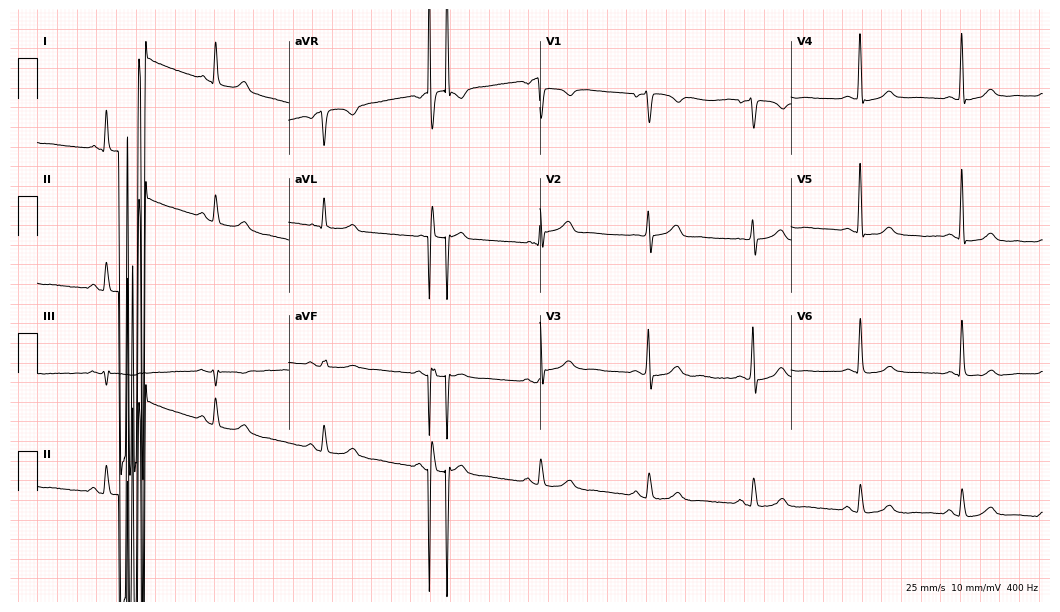
ECG (10.2-second recording at 400 Hz) — a 75-year-old man. Screened for six findings — first-degree AV block, right bundle branch block, left bundle branch block, sinus bradycardia, atrial fibrillation, sinus tachycardia — none is recorded. Findings outside these six are not listed.